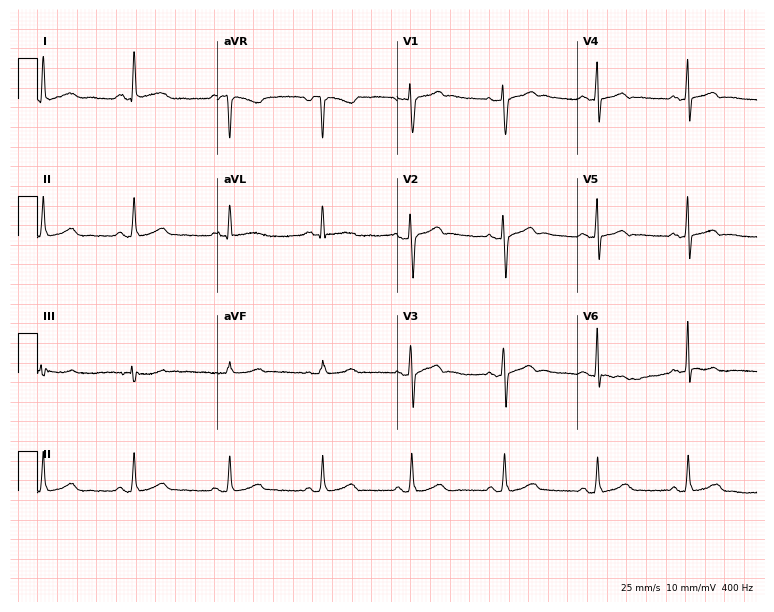
Standard 12-lead ECG recorded from a 34-year-old woman. Read as a normal ECG.